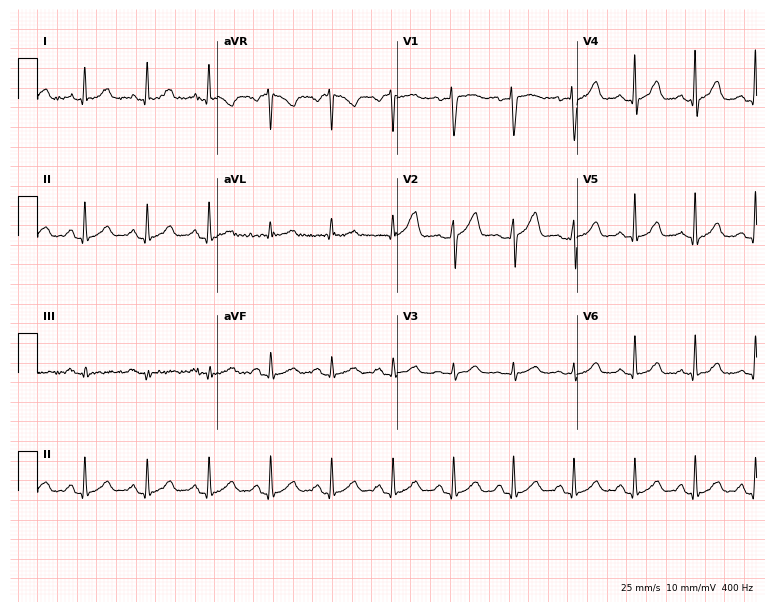
12-lead ECG from a 44-year-old female (7.3-second recording at 400 Hz). Recorded interpretation: within normal limits.